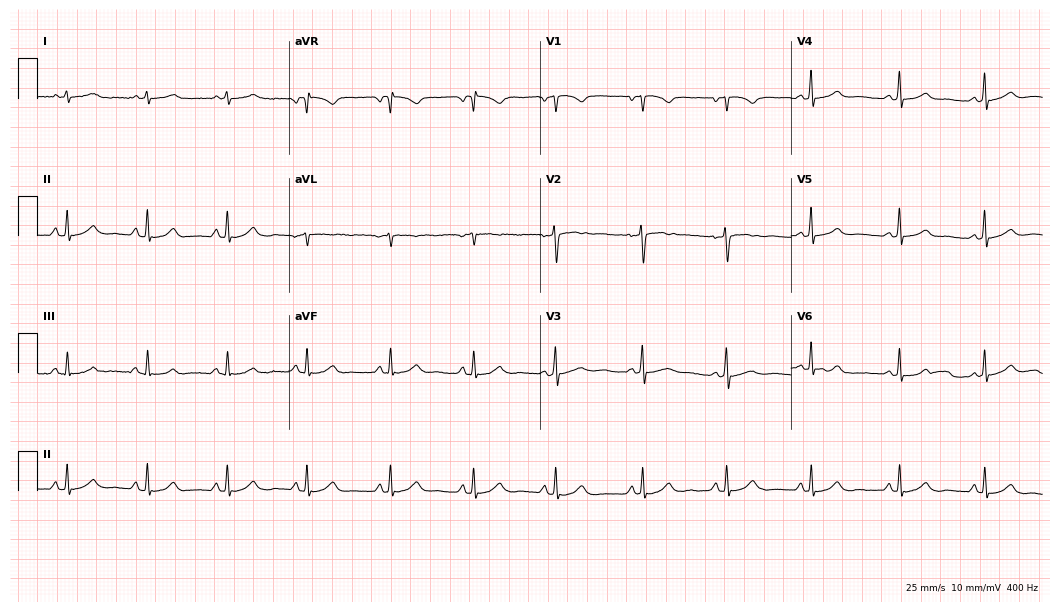
12-lead ECG from a female, 24 years old (10.2-second recording at 400 Hz). Recorded interpretation: within normal limits.